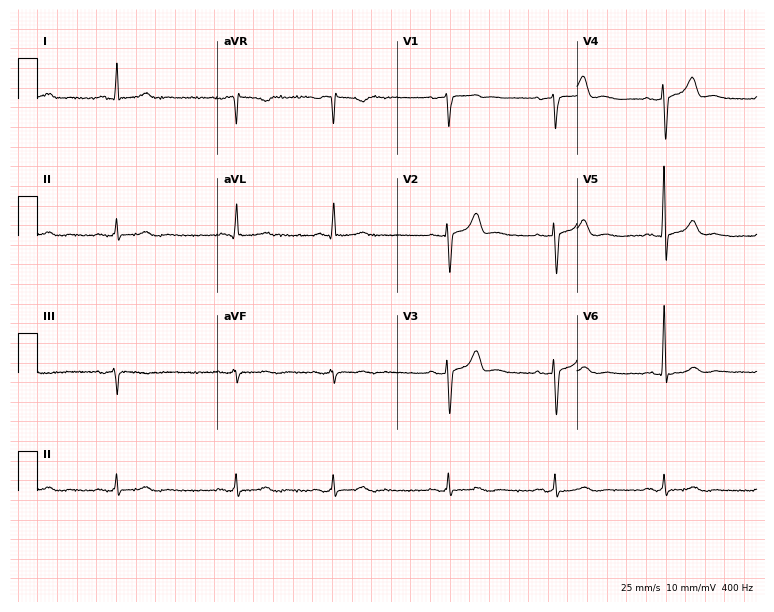
Electrocardiogram, a man, 73 years old. Overall reading on record: normal ECG.